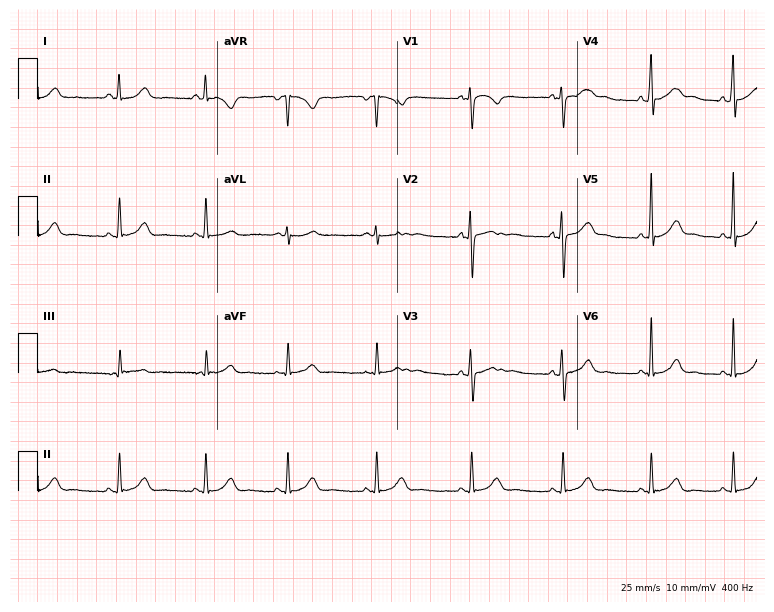
12-lead ECG from a female, 26 years old. Recorded interpretation: within normal limits.